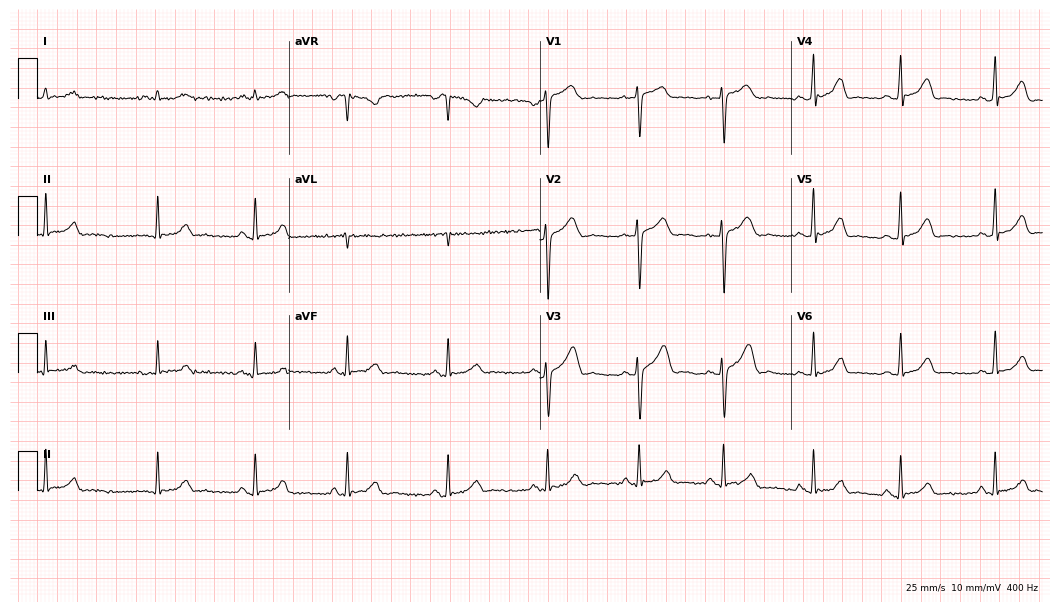
12-lead ECG (10.2-second recording at 400 Hz) from a male, 33 years old. Labelled as a normal ECG.